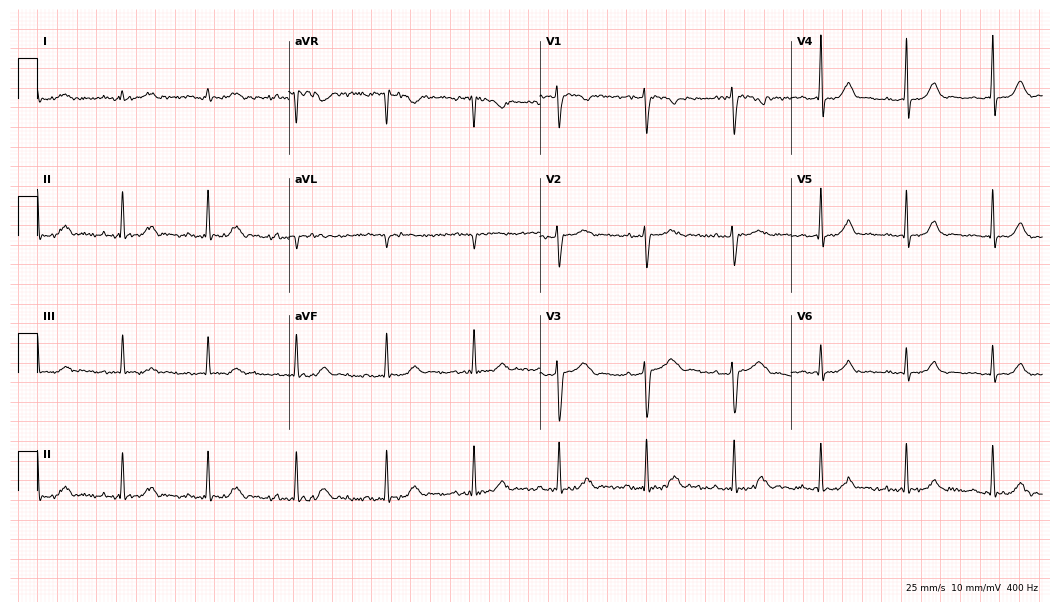
ECG (10.2-second recording at 400 Hz) — a 43-year-old woman. Screened for six findings — first-degree AV block, right bundle branch block (RBBB), left bundle branch block (LBBB), sinus bradycardia, atrial fibrillation (AF), sinus tachycardia — none is recorded.